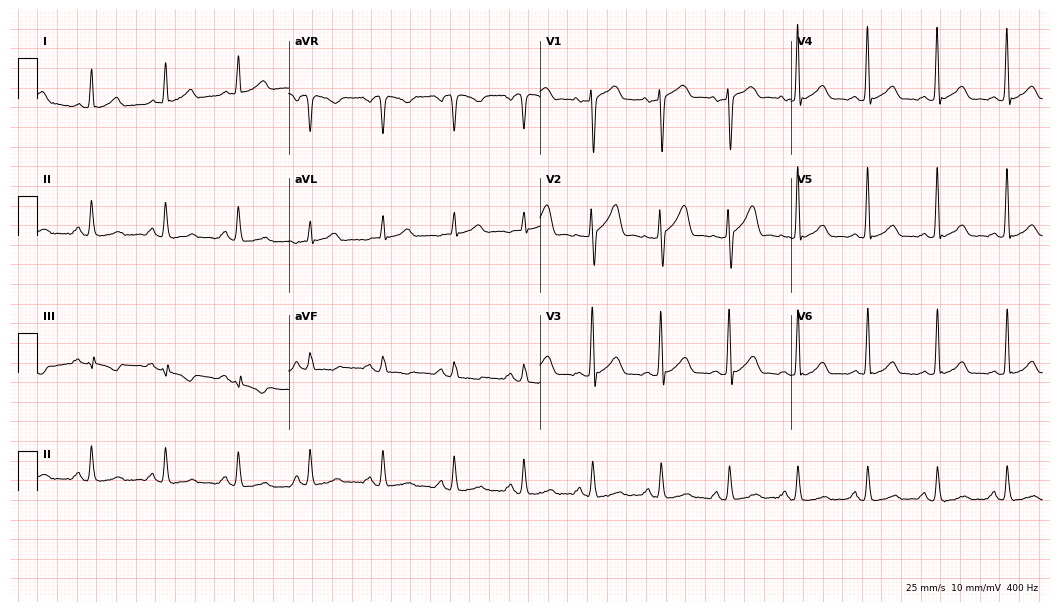
Electrocardiogram, a 58-year-old male patient. Overall reading on record: normal ECG.